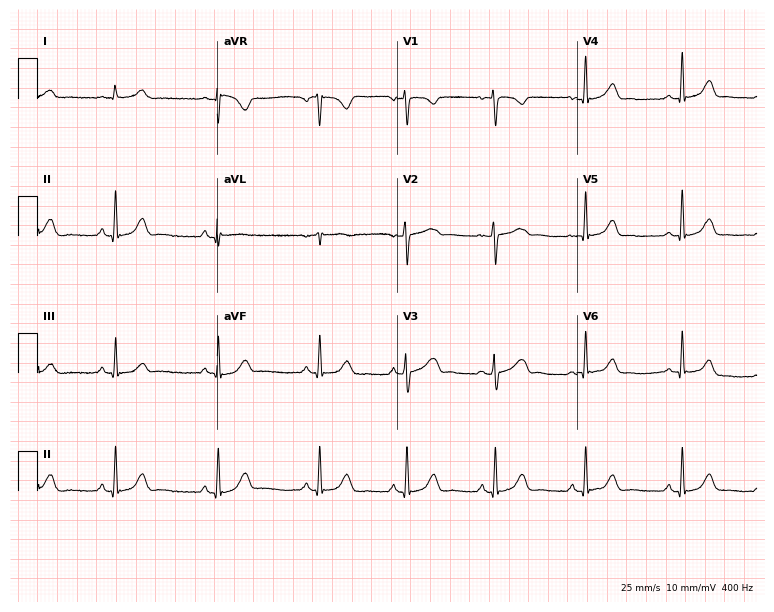
ECG (7.3-second recording at 400 Hz) — a female patient, 34 years old. Labelled as a normal ECG.